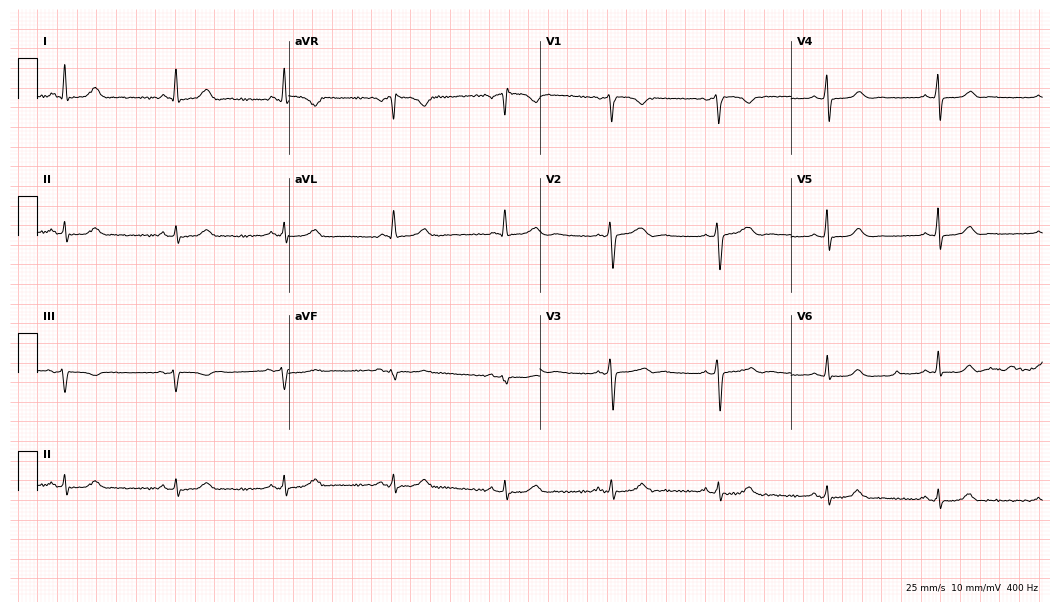
12-lead ECG (10.2-second recording at 400 Hz) from a 59-year-old female. Labelled as a normal ECG.